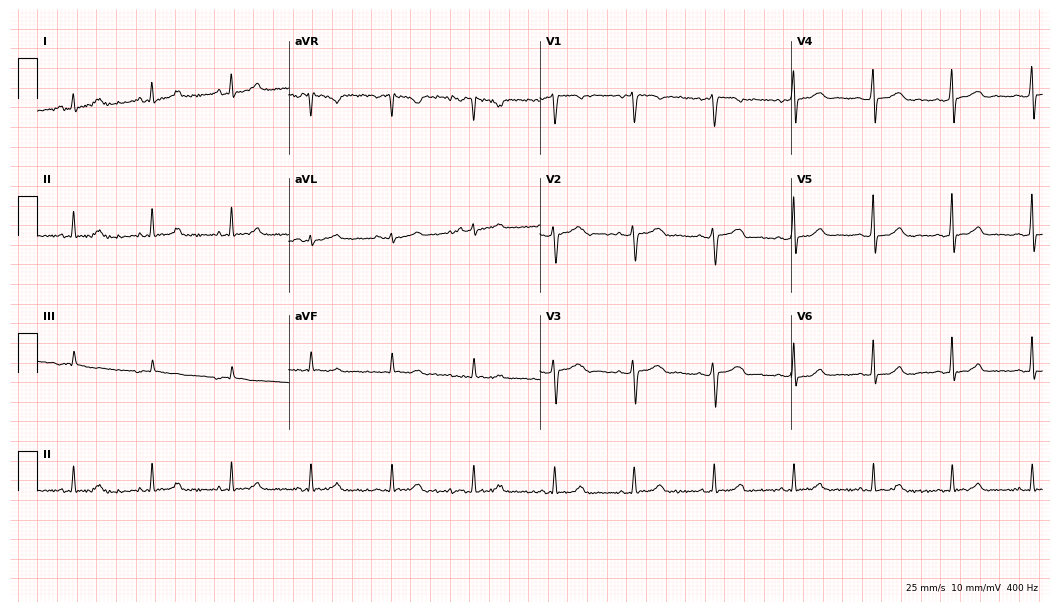
12-lead ECG from a female, 29 years old. Labelled as a normal ECG.